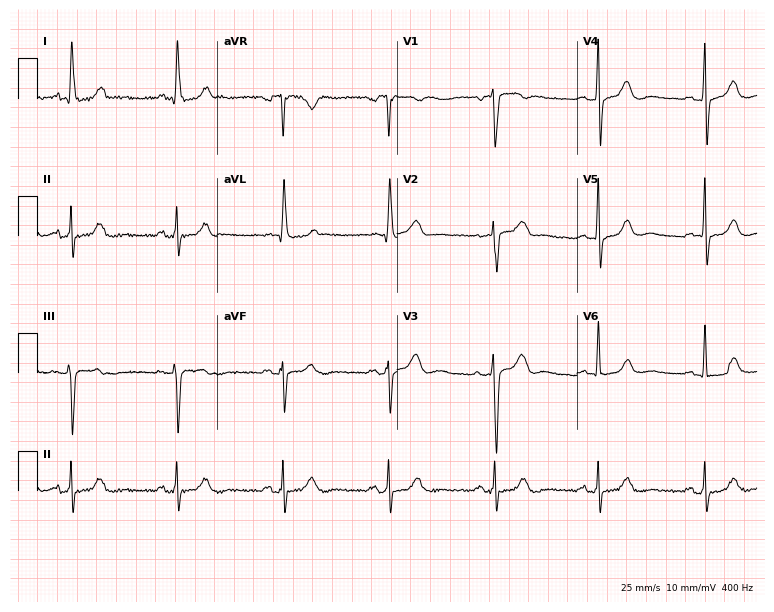
12-lead ECG (7.3-second recording at 400 Hz) from a female patient, 65 years old. Screened for six findings — first-degree AV block, right bundle branch block (RBBB), left bundle branch block (LBBB), sinus bradycardia, atrial fibrillation (AF), sinus tachycardia — none is recorded.